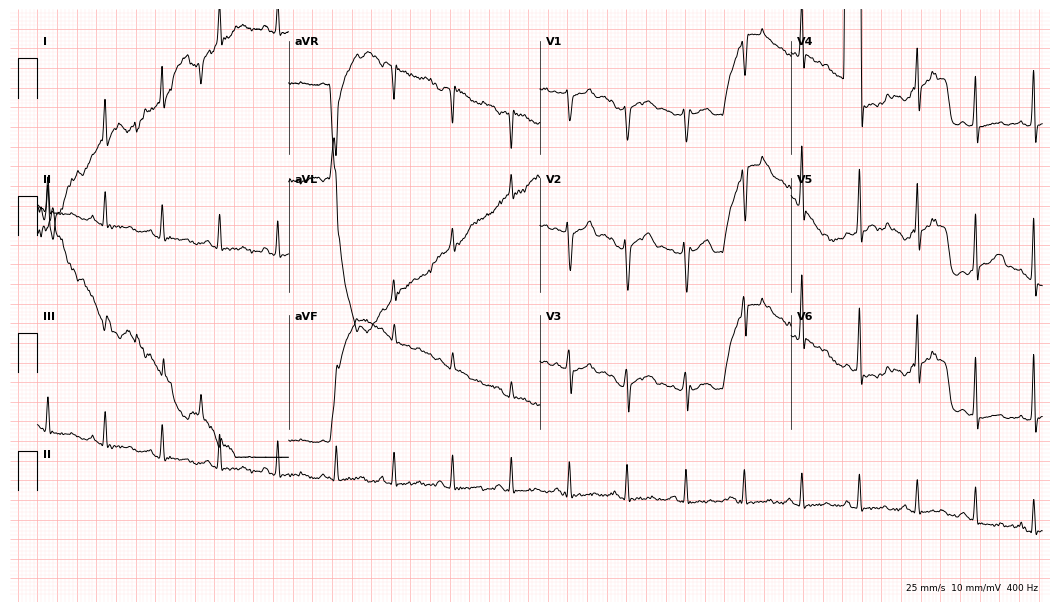
Standard 12-lead ECG recorded from a female patient, 44 years old (10.2-second recording at 400 Hz). None of these six findings is recorded: first-degree AV block, right bundle branch block, left bundle branch block, sinus bradycardia, atrial fibrillation, sinus tachycardia. Findings outside these six are not listed.